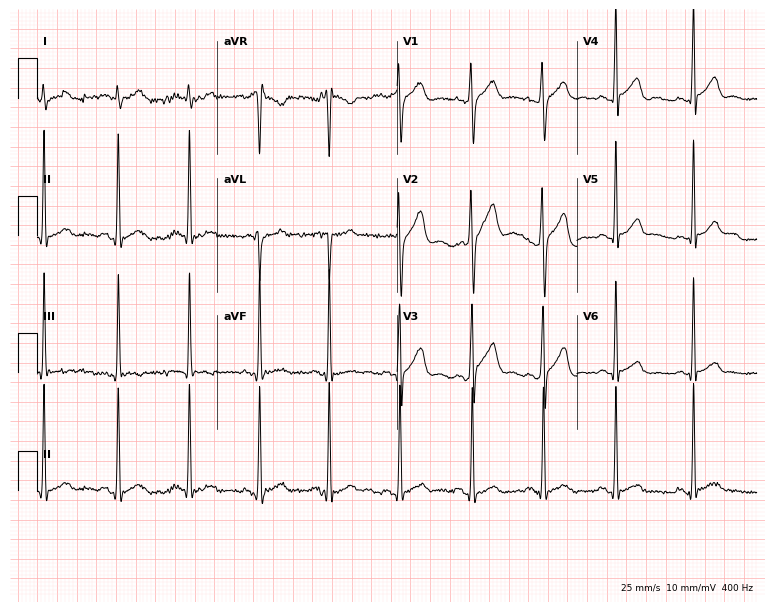
Electrocardiogram, an 18-year-old man. Overall reading on record: normal ECG.